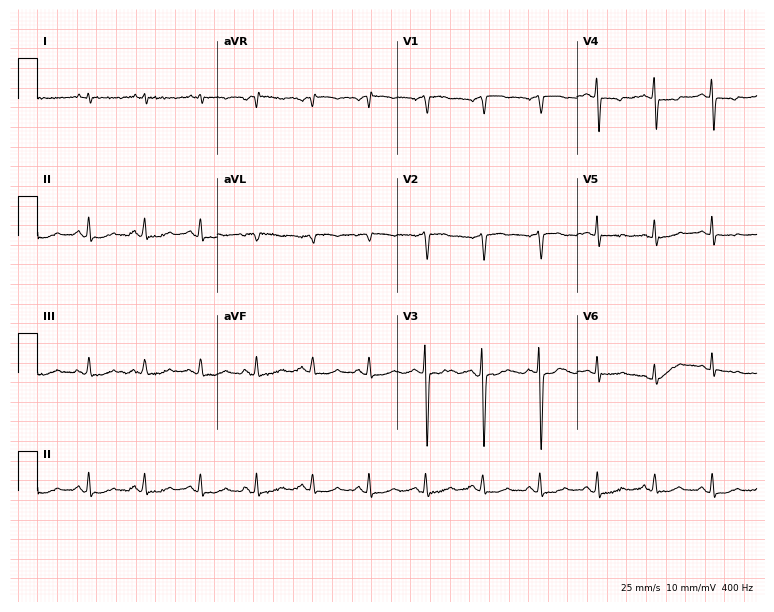
Standard 12-lead ECG recorded from an 88-year-old female patient (7.3-second recording at 400 Hz). Read as a normal ECG.